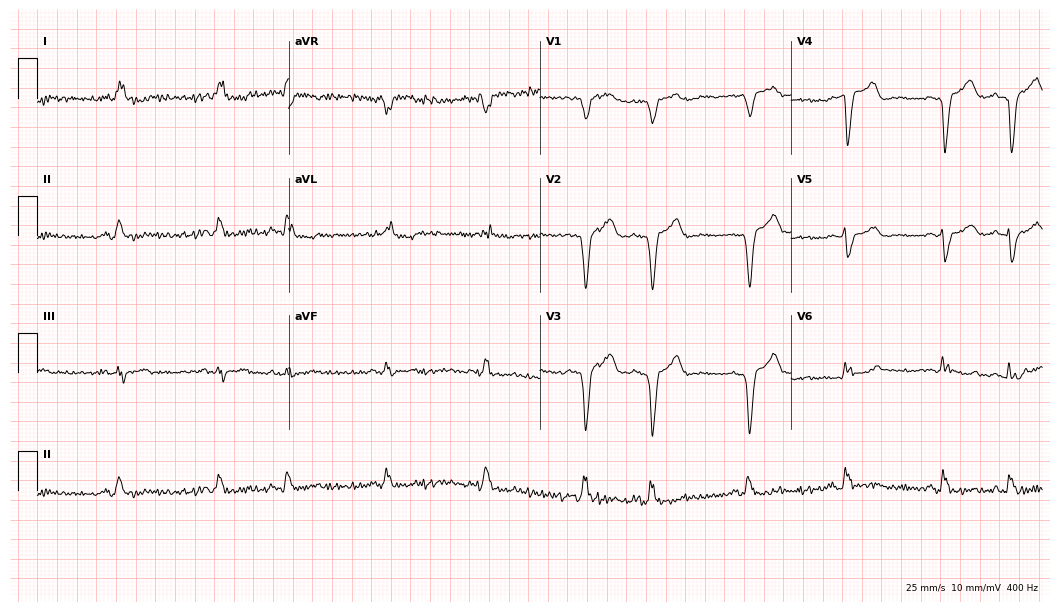
Electrocardiogram (10.2-second recording at 400 Hz), a female, 77 years old. Interpretation includes left bundle branch block, atrial fibrillation.